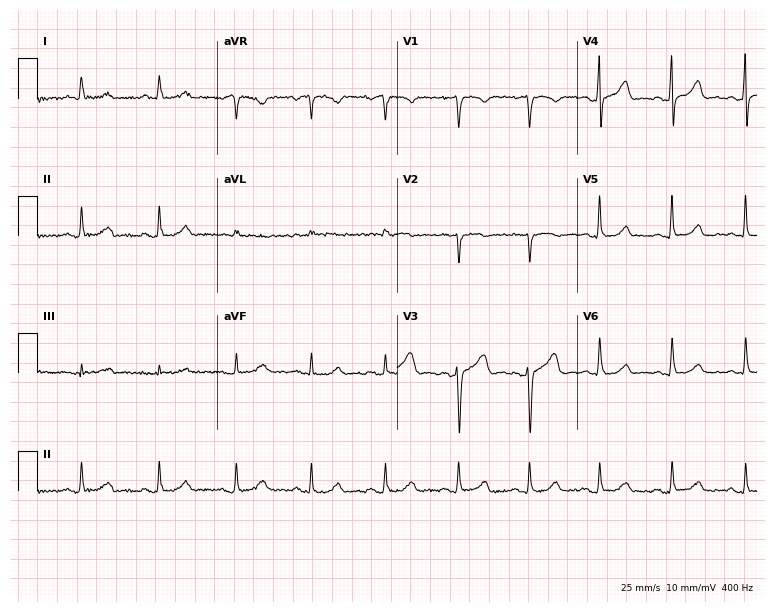
Standard 12-lead ECG recorded from a woman, 49 years old. Read as a normal ECG.